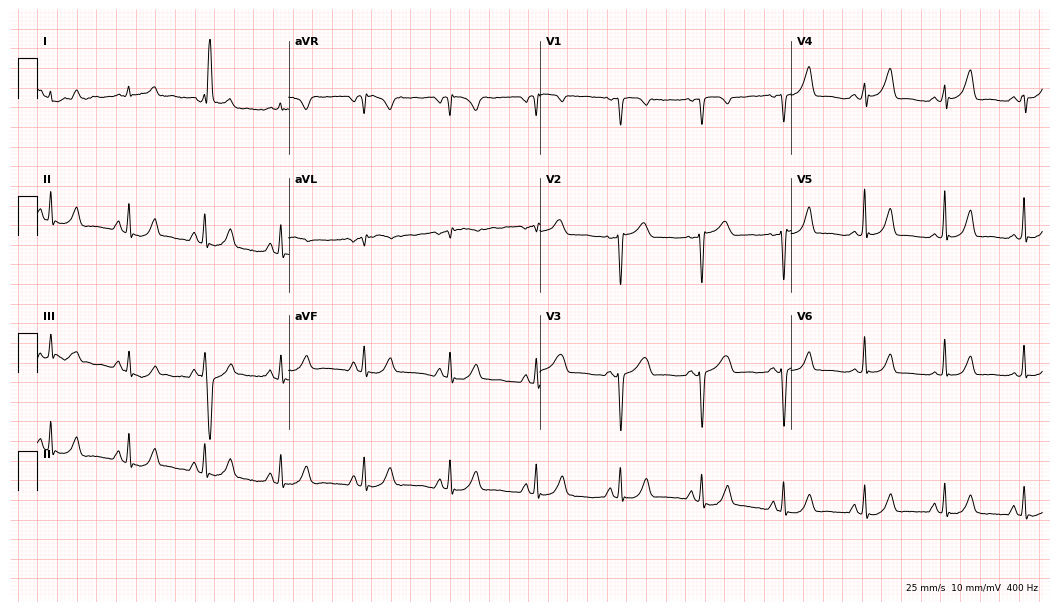
Resting 12-lead electrocardiogram (10.2-second recording at 400 Hz). Patient: a female, 52 years old. None of these six findings is recorded: first-degree AV block, right bundle branch block, left bundle branch block, sinus bradycardia, atrial fibrillation, sinus tachycardia.